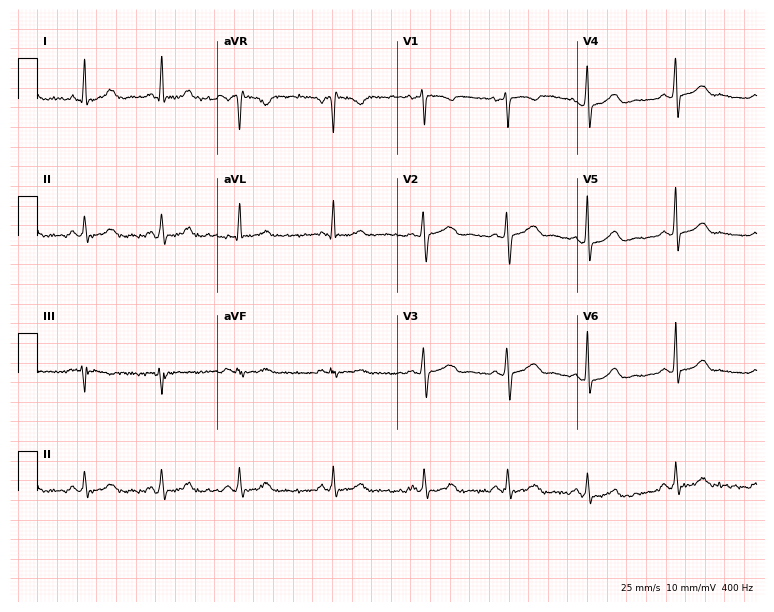
Standard 12-lead ECG recorded from a 42-year-old woman. None of these six findings is recorded: first-degree AV block, right bundle branch block (RBBB), left bundle branch block (LBBB), sinus bradycardia, atrial fibrillation (AF), sinus tachycardia. Findings outside these six are not listed.